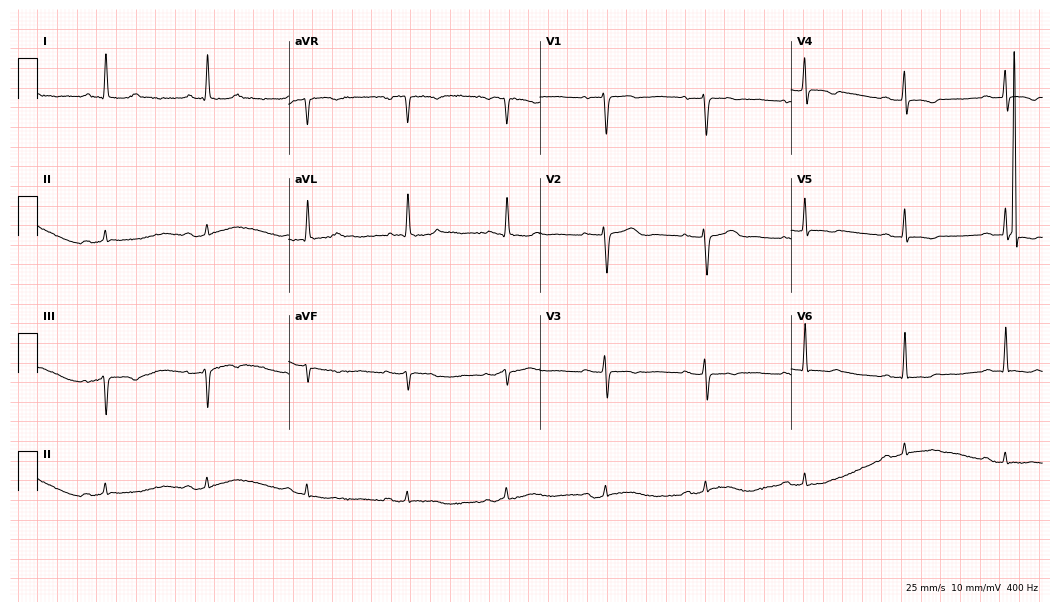
Standard 12-lead ECG recorded from a 71-year-old female patient. None of these six findings is recorded: first-degree AV block, right bundle branch block (RBBB), left bundle branch block (LBBB), sinus bradycardia, atrial fibrillation (AF), sinus tachycardia.